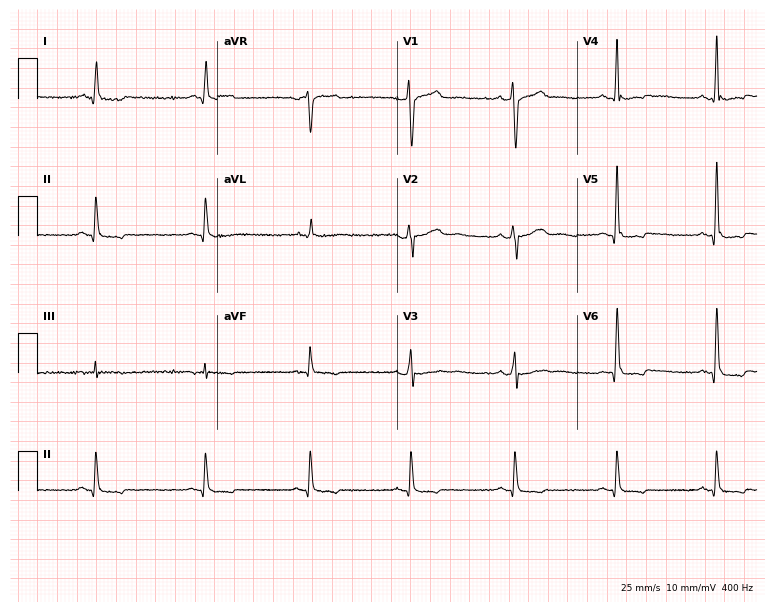
Standard 12-lead ECG recorded from a 41-year-old man (7.3-second recording at 400 Hz). Read as a normal ECG.